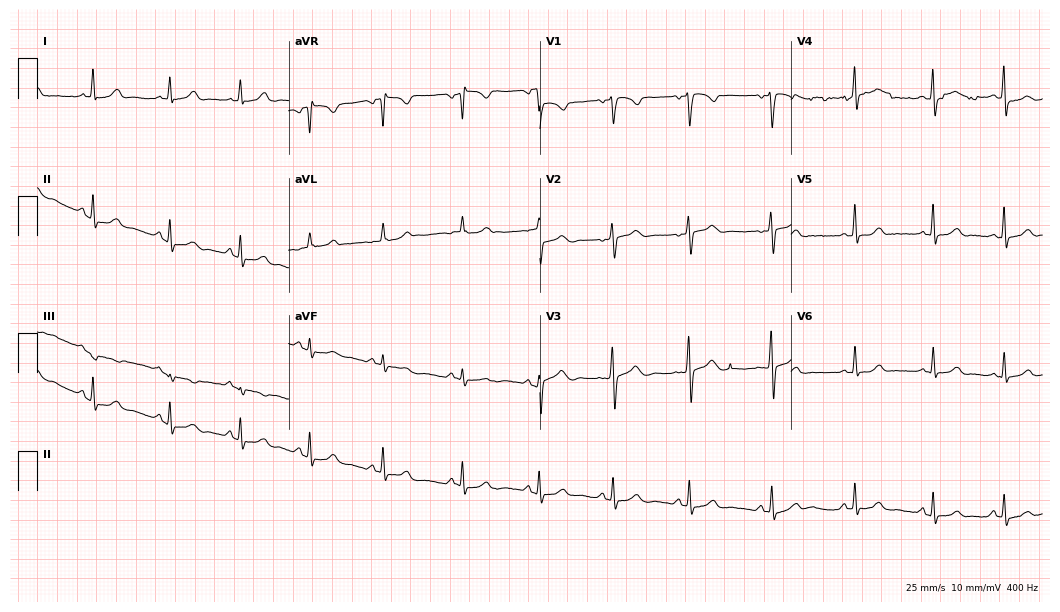
12-lead ECG (10.2-second recording at 400 Hz) from a 27-year-old woman. Labelled as a normal ECG.